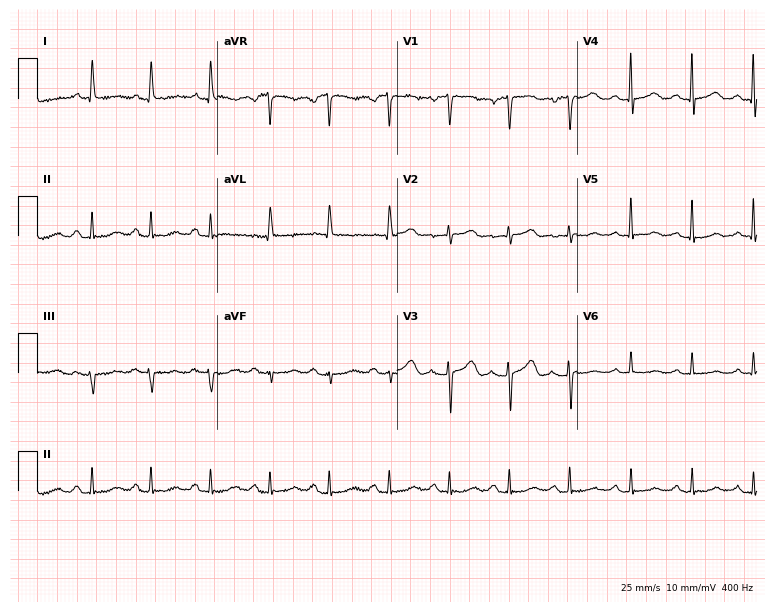
Standard 12-lead ECG recorded from a 67-year-old female (7.3-second recording at 400 Hz). Read as a normal ECG.